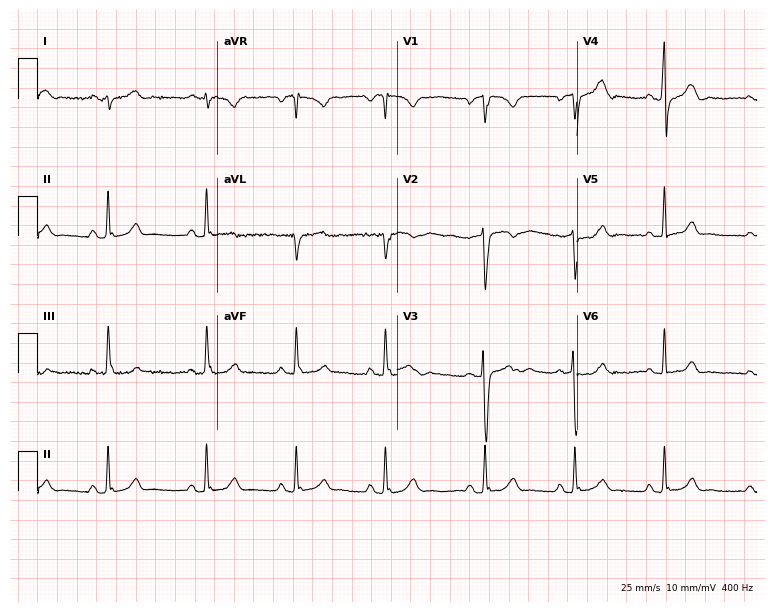
Resting 12-lead electrocardiogram (7.3-second recording at 400 Hz). Patient: a man, 22 years old. Read as a normal ECG.